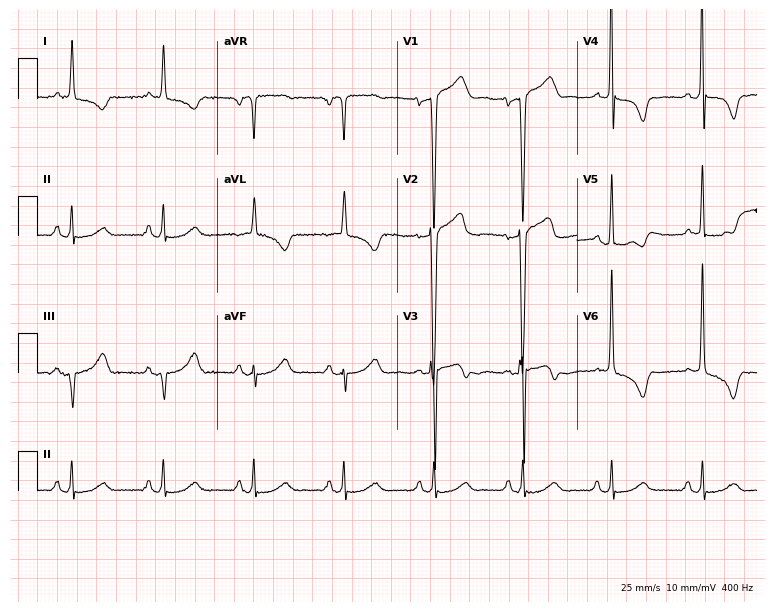
12-lead ECG from a male patient, 73 years old. No first-degree AV block, right bundle branch block, left bundle branch block, sinus bradycardia, atrial fibrillation or sinus tachycardia recorded for this tracing. Findings outside these six are not listed.